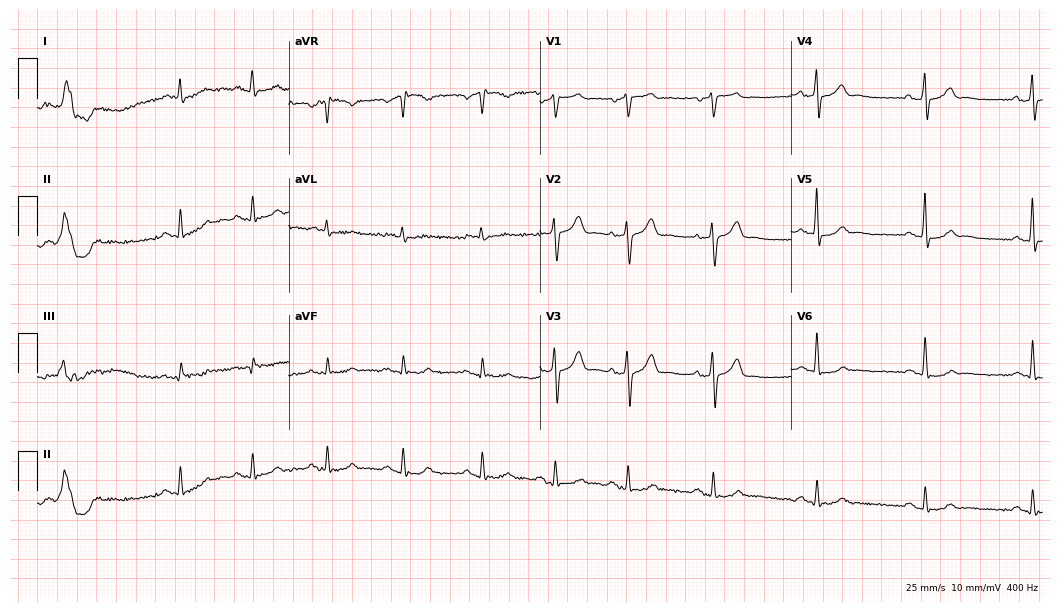
Standard 12-lead ECG recorded from a 60-year-old female. Read as a normal ECG.